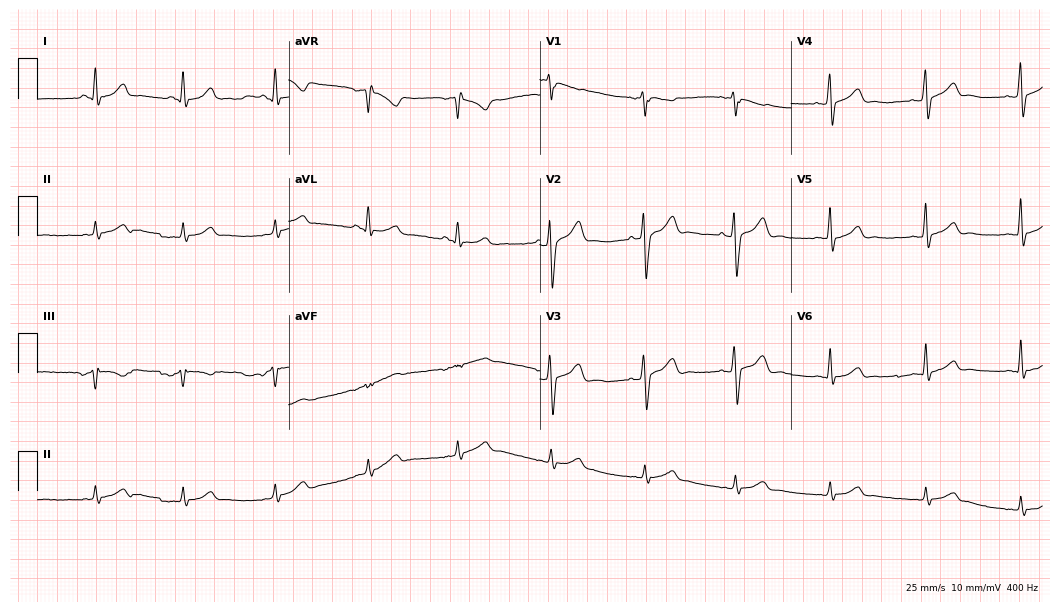
12-lead ECG from a 37-year-old male patient (10.2-second recording at 400 Hz). Recorded interpretation: within normal limits.